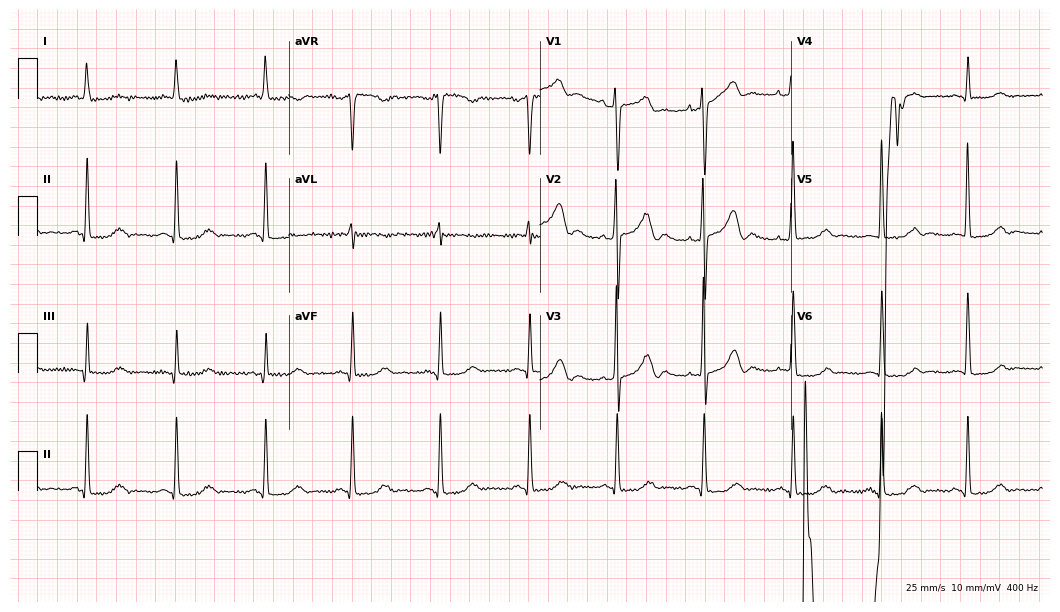
Resting 12-lead electrocardiogram. Patient: a 71-year-old woman. None of these six findings is recorded: first-degree AV block, right bundle branch block, left bundle branch block, sinus bradycardia, atrial fibrillation, sinus tachycardia. Other findings, if any, are not listed.